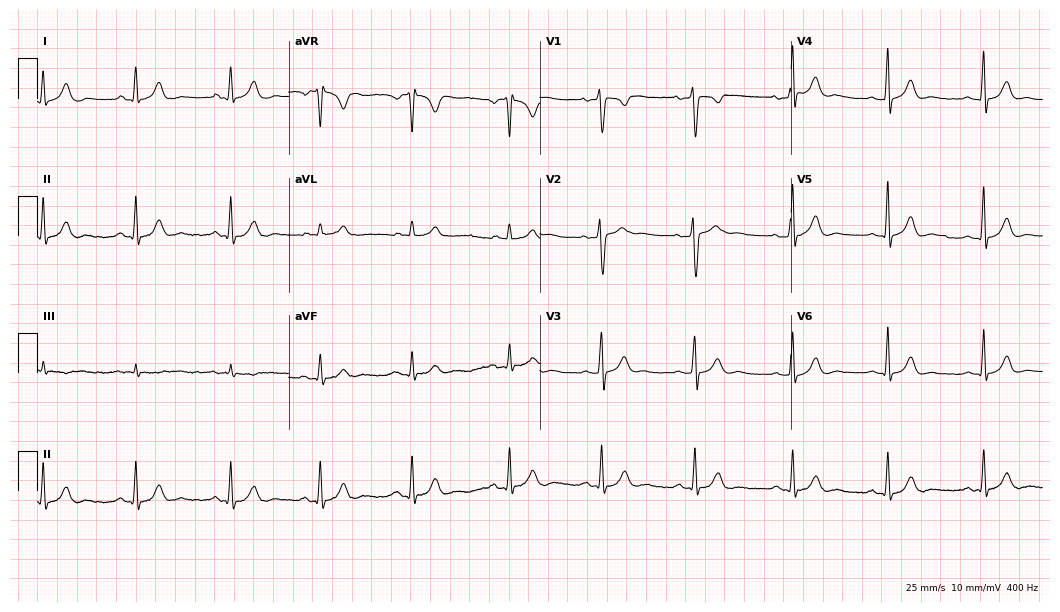
12-lead ECG from a male patient, 32 years old (10.2-second recording at 400 Hz). No first-degree AV block, right bundle branch block, left bundle branch block, sinus bradycardia, atrial fibrillation or sinus tachycardia recorded for this tracing. Findings outside these six are not listed.